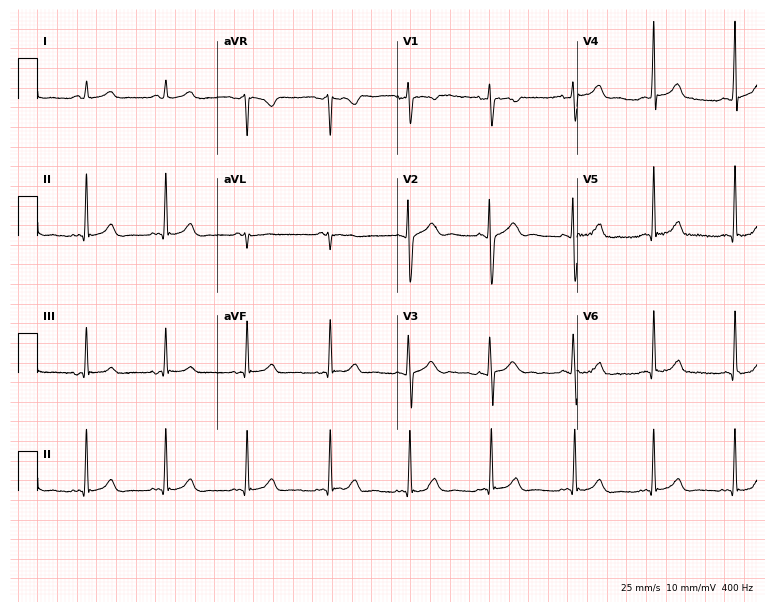
Electrocardiogram (7.3-second recording at 400 Hz), a 22-year-old woman. Of the six screened findings (first-degree AV block, right bundle branch block, left bundle branch block, sinus bradycardia, atrial fibrillation, sinus tachycardia), none is recorded. Other findings, if any, are not listed.